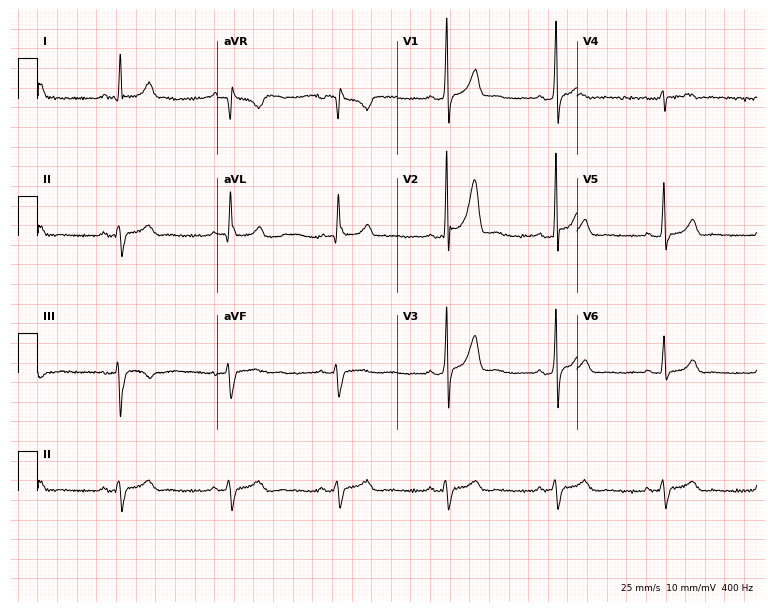
ECG (7.3-second recording at 400 Hz) — a 57-year-old male patient. Screened for six findings — first-degree AV block, right bundle branch block, left bundle branch block, sinus bradycardia, atrial fibrillation, sinus tachycardia — none is recorded.